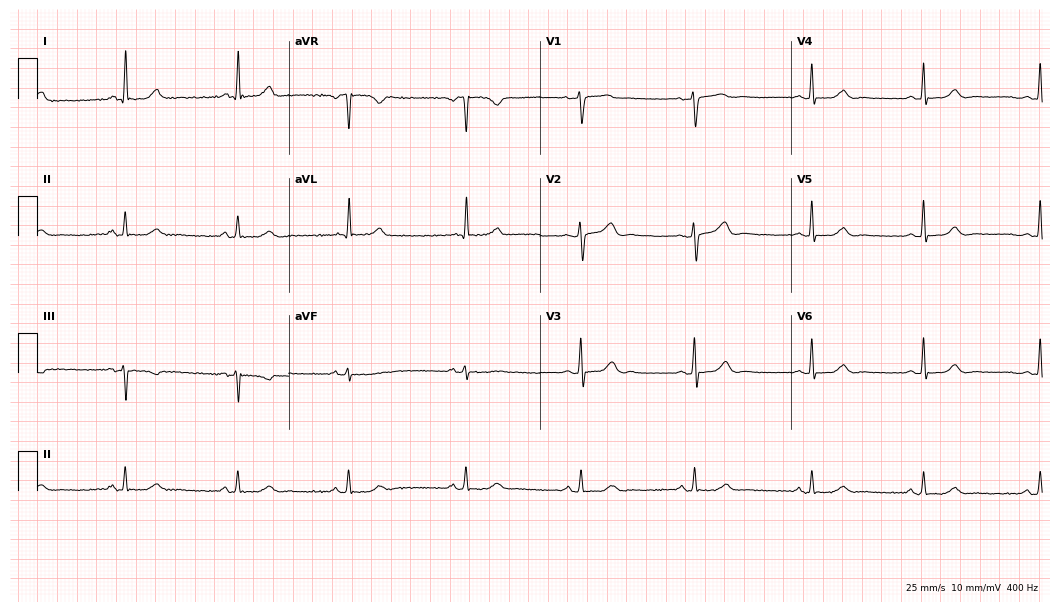
Standard 12-lead ECG recorded from a 57-year-old female. Read as a normal ECG.